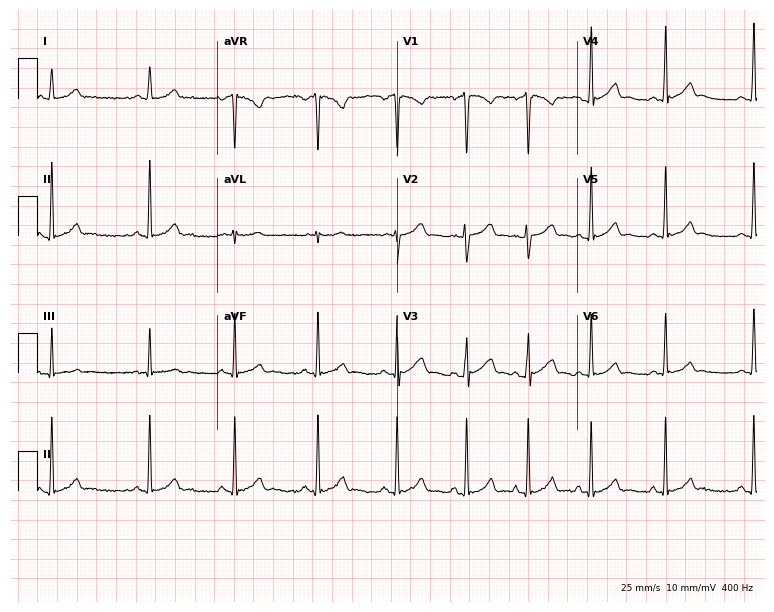
12-lead ECG from a 24-year-old female. Labelled as a normal ECG.